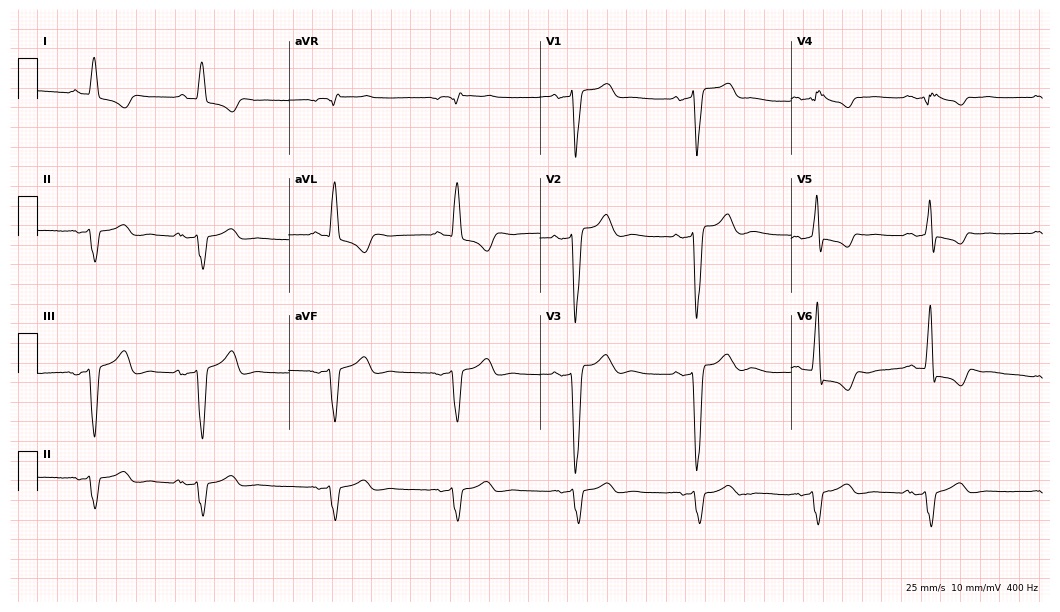
12-lead ECG (10.2-second recording at 400 Hz) from a 71-year-old man. Screened for six findings — first-degree AV block, right bundle branch block, left bundle branch block, sinus bradycardia, atrial fibrillation, sinus tachycardia — none is recorded.